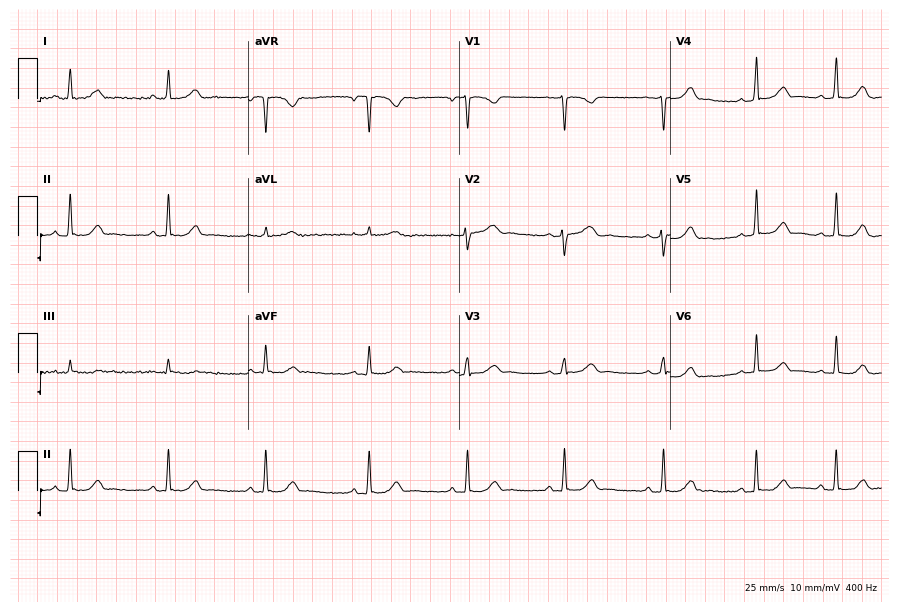
12-lead ECG from a 23-year-old woman. Recorded interpretation: within normal limits.